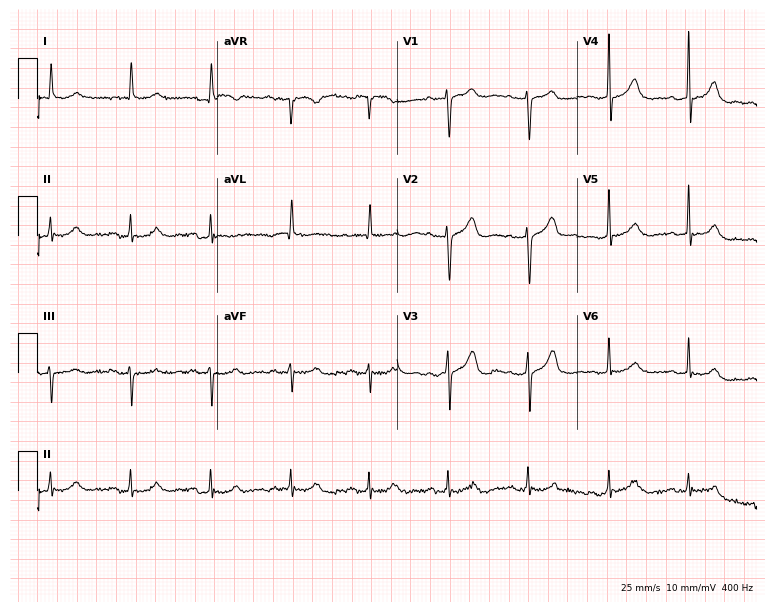
ECG — a 74-year-old female. Screened for six findings — first-degree AV block, right bundle branch block, left bundle branch block, sinus bradycardia, atrial fibrillation, sinus tachycardia — none is recorded.